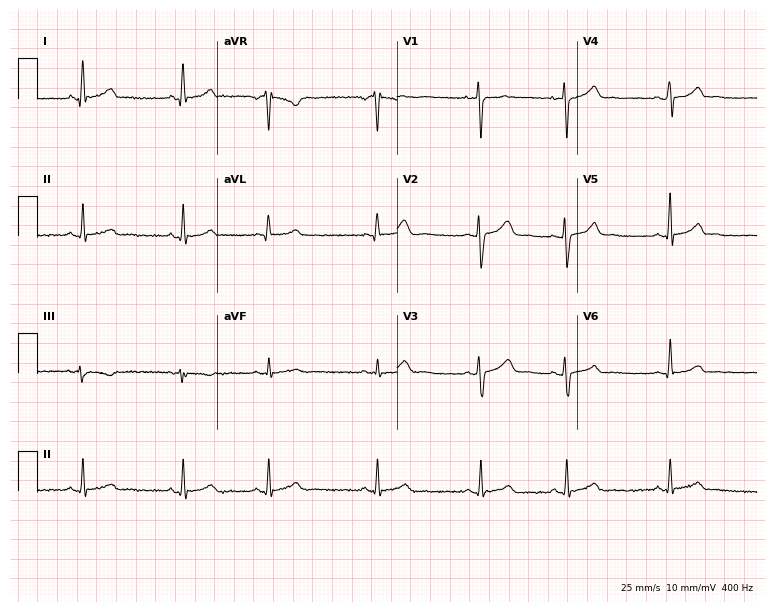
Resting 12-lead electrocardiogram (7.3-second recording at 400 Hz). Patient: a female, 19 years old. Read as a normal ECG.